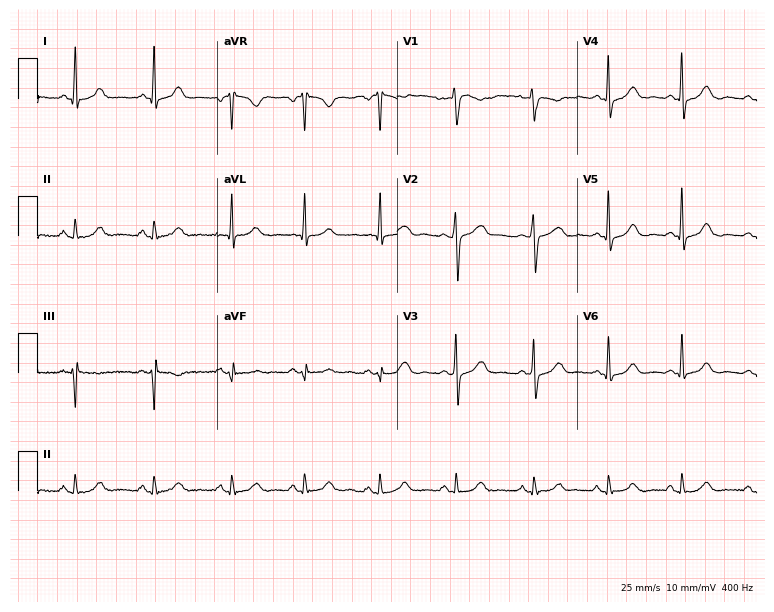
12-lead ECG from a woman, 54 years old. No first-degree AV block, right bundle branch block, left bundle branch block, sinus bradycardia, atrial fibrillation or sinus tachycardia recorded for this tracing. Other findings, if any, are not listed.